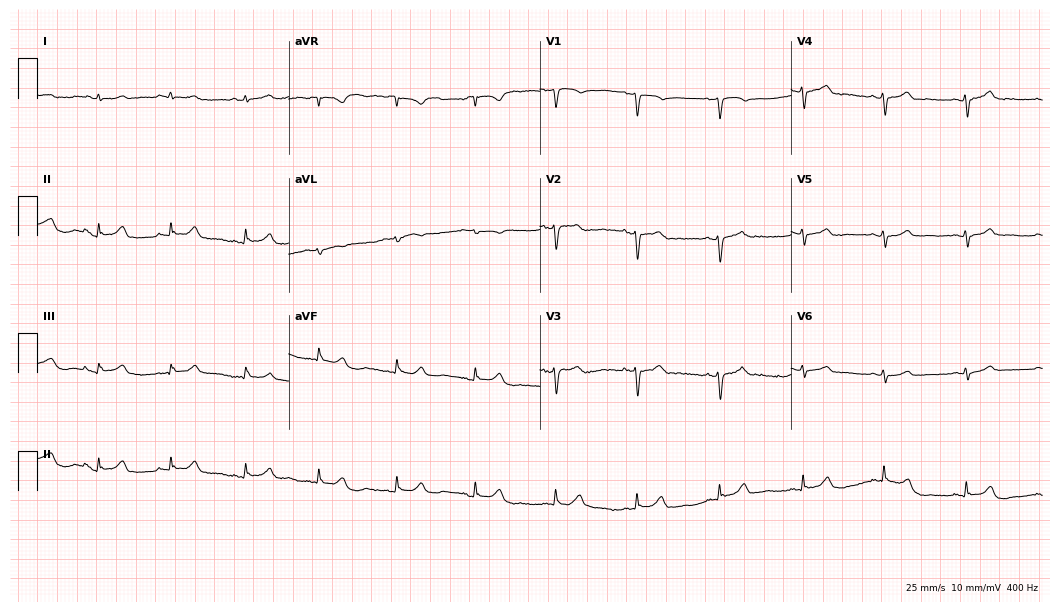
Resting 12-lead electrocardiogram. Patient: a male, 58 years old. None of these six findings is recorded: first-degree AV block, right bundle branch block, left bundle branch block, sinus bradycardia, atrial fibrillation, sinus tachycardia. Findings outside these six are not listed.